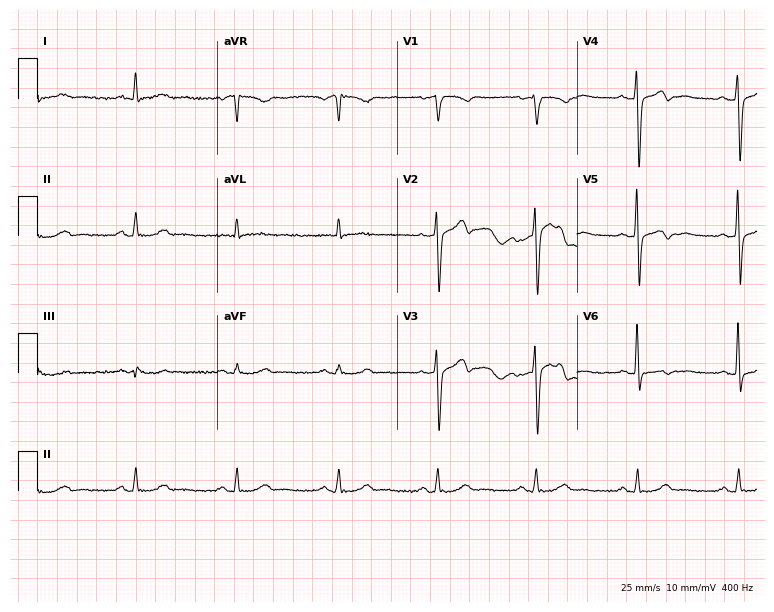
Standard 12-lead ECG recorded from a male patient, 53 years old (7.3-second recording at 400 Hz). None of these six findings is recorded: first-degree AV block, right bundle branch block (RBBB), left bundle branch block (LBBB), sinus bradycardia, atrial fibrillation (AF), sinus tachycardia.